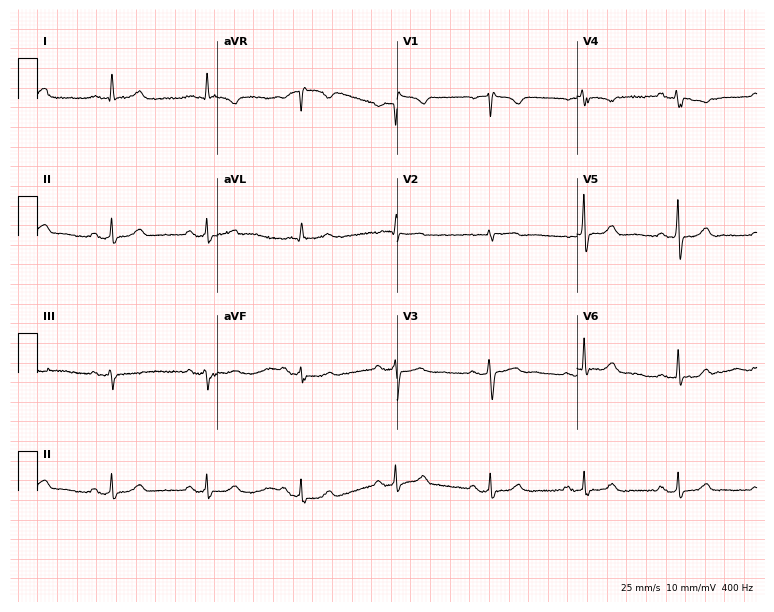
Resting 12-lead electrocardiogram. Patient: a 73-year-old male. Read as a normal ECG.